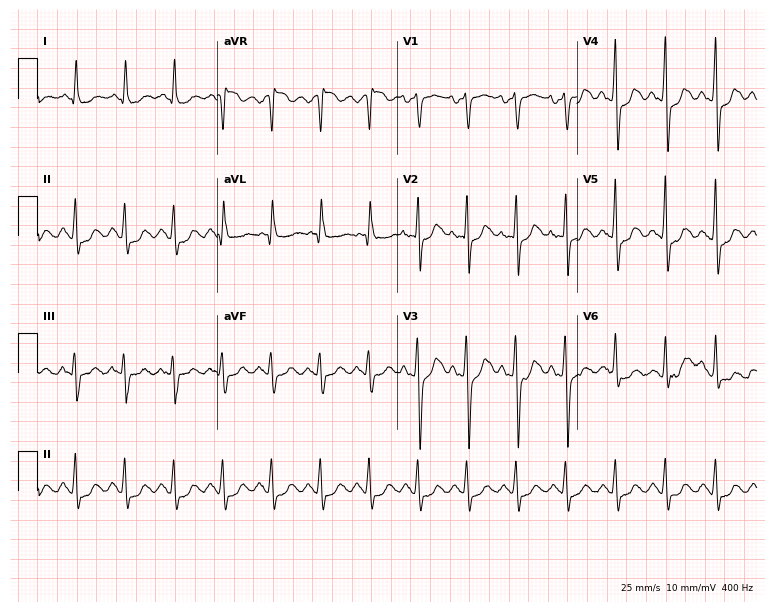
12-lead ECG from a 63-year-old female. Findings include sinus tachycardia (a sinus rate of 100 beats per minute or more).